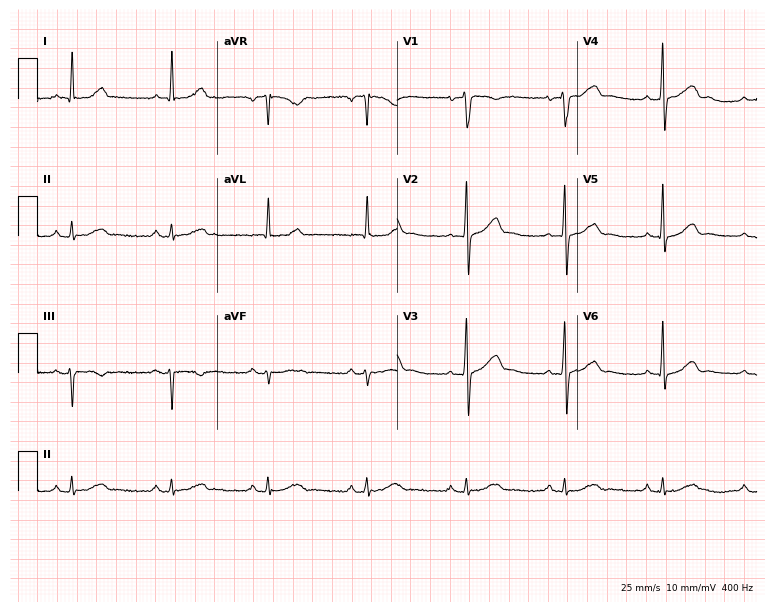
12-lead ECG (7.3-second recording at 400 Hz) from a man, 59 years old. Screened for six findings — first-degree AV block, right bundle branch block (RBBB), left bundle branch block (LBBB), sinus bradycardia, atrial fibrillation (AF), sinus tachycardia — none is recorded. Only these six findings were labelled.